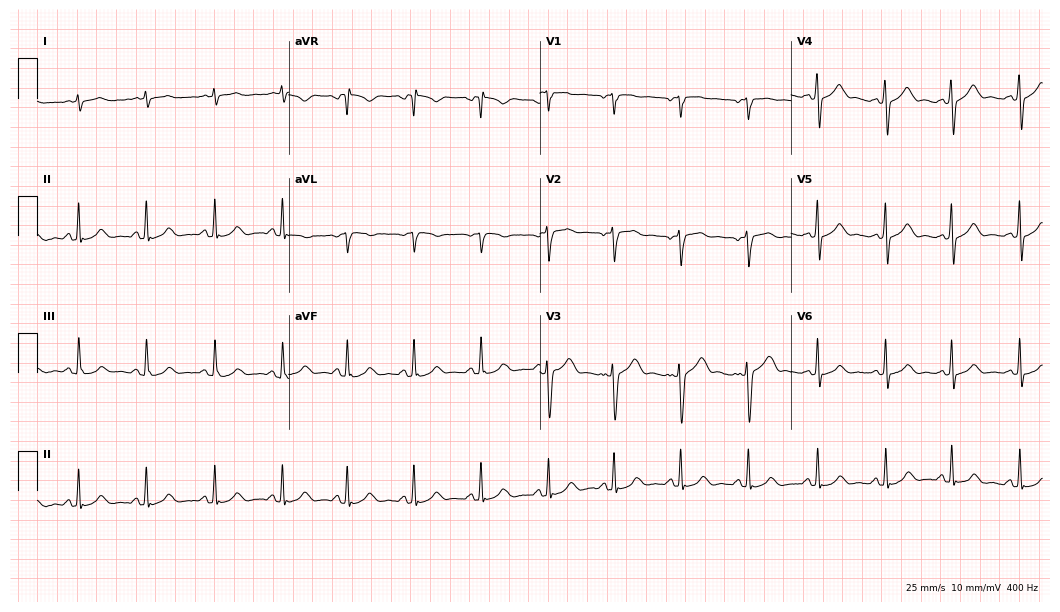
Electrocardiogram (10.2-second recording at 400 Hz), a 38-year-old woman. Overall reading on record: normal ECG.